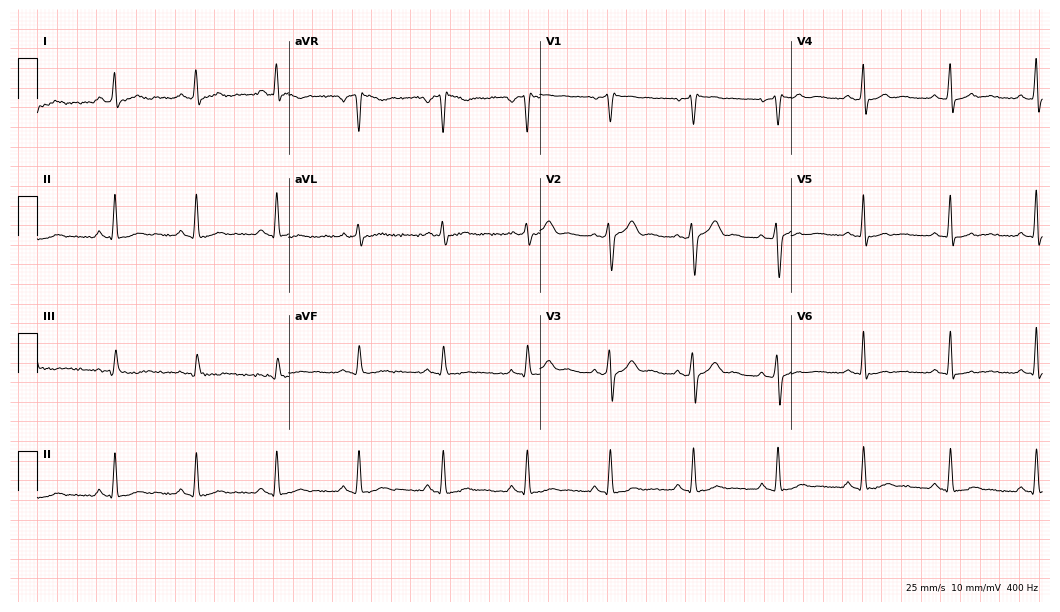
12-lead ECG (10.2-second recording at 400 Hz) from a male patient, 40 years old. Screened for six findings — first-degree AV block, right bundle branch block (RBBB), left bundle branch block (LBBB), sinus bradycardia, atrial fibrillation (AF), sinus tachycardia — none is recorded.